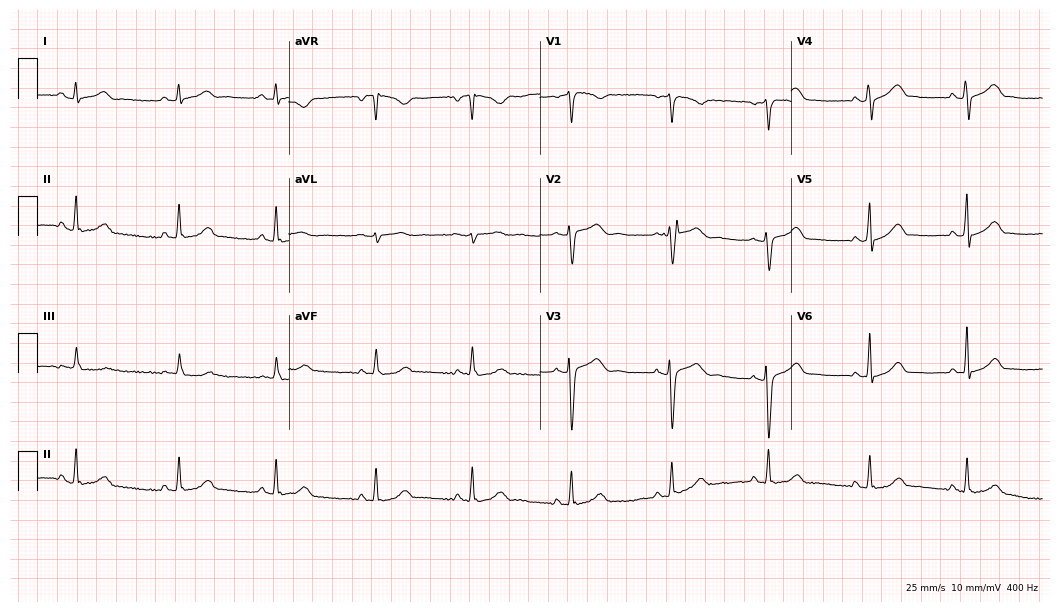
Electrocardiogram, a female, 30 years old. Overall reading on record: normal ECG.